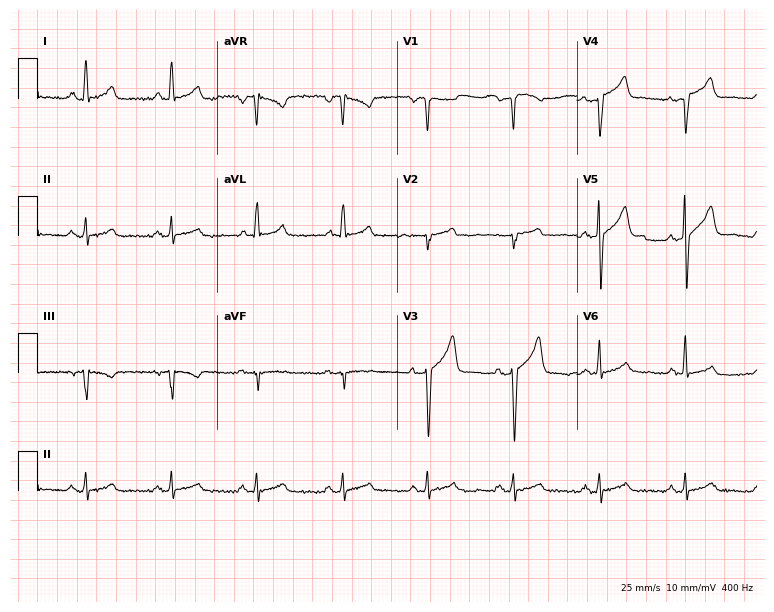
Electrocardiogram (7.3-second recording at 400 Hz), a 48-year-old male. Of the six screened findings (first-degree AV block, right bundle branch block (RBBB), left bundle branch block (LBBB), sinus bradycardia, atrial fibrillation (AF), sinus tachycardia), none is recorded.